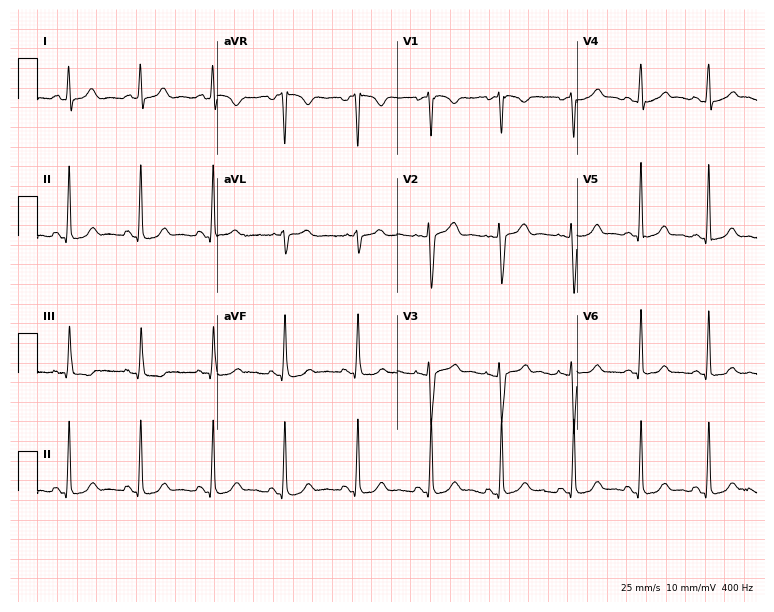
Standard 12-lead ECG recorded from a female patient, 29 years old (7.3-second recording at 400 Hz). Read as a normal ECG.